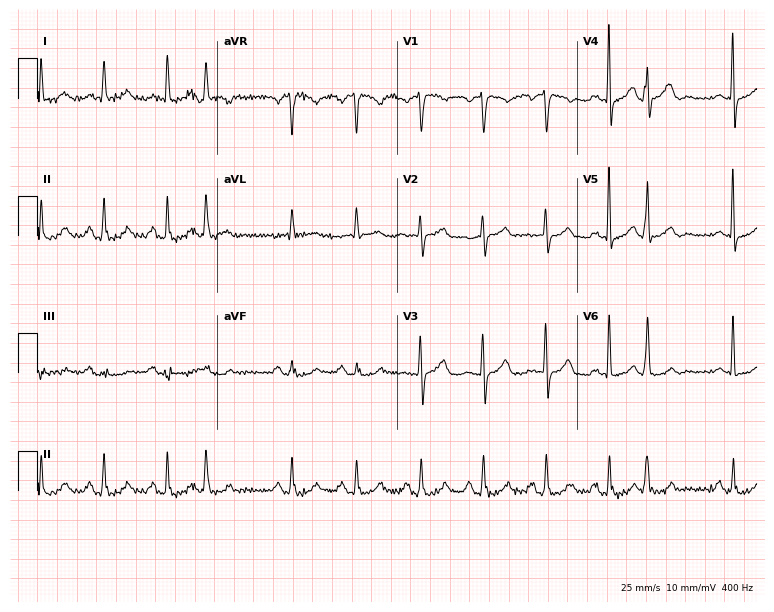
12-lead ECG from a 60-year-old female patient (7.3-second recording at 400 Hz). No first-degree AV block, right bundle branch block, left bundle branch block, sinus bradycardia, atrial fibrillation or sinus tachycardia recorded for this tracing. Findings outside these six are not listed.